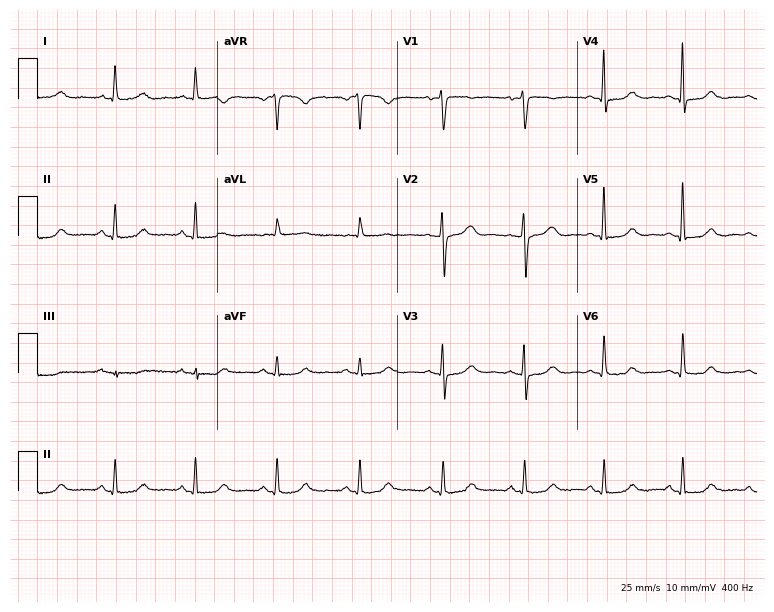
Resting 12-lead electrocardiogram (7.3-second recording at 400 Hz). Patient: a woman, 72 years old. Read as a normal ECG.